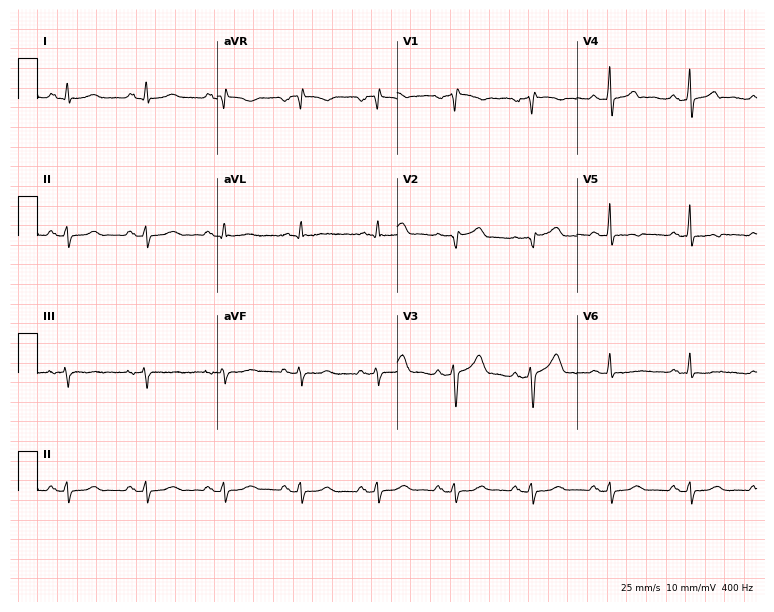
ECG (7.3-second recording at 400 Hz) — a man, 50 years old. Screened for six findings — first-degree AV block, right bundle branch block (RBBB), left bundle branch block (LBBB), sinus bradycardia, atrial fibrillation (AF), sinus tachycardia — none is recorded. Other findings, if any, are not listed.